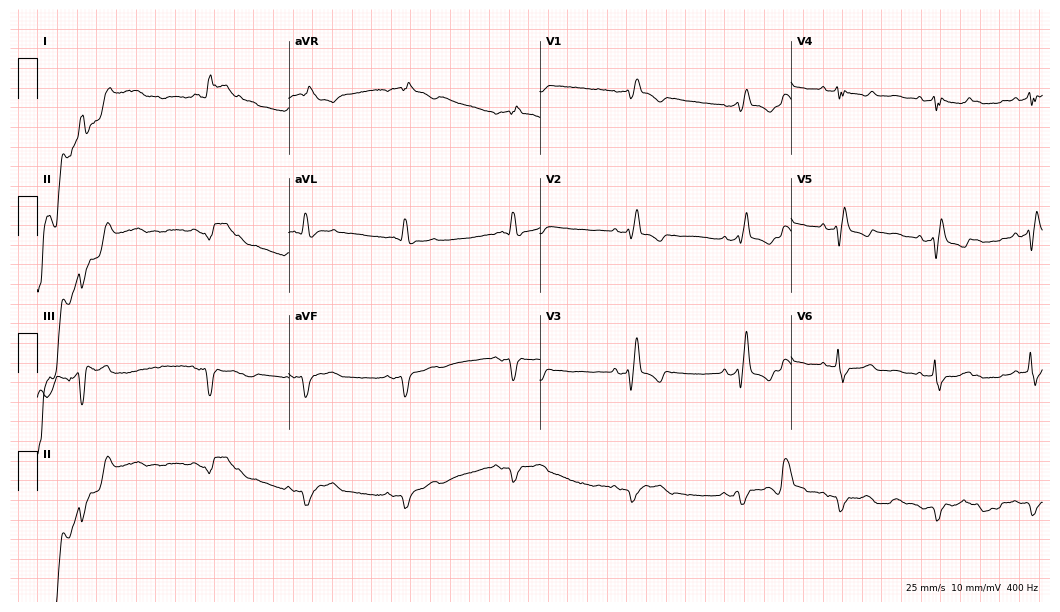
Electrocardiogram (10.2-second recording at 400 Hz), an 84-year-old man. Interpretation includes right bundle branch block, atrial fibrillation.